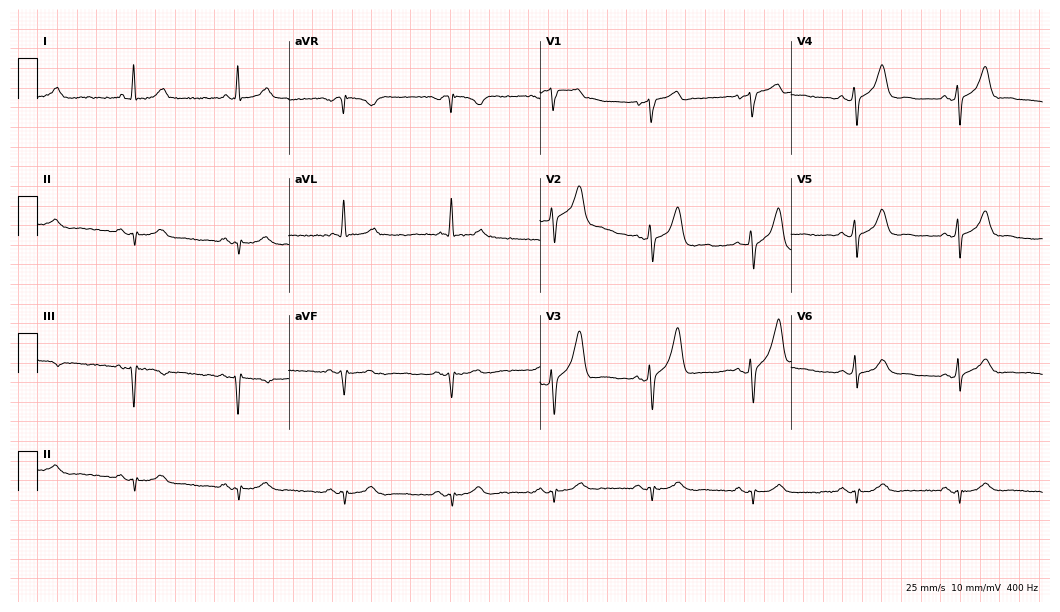
Resting 12-lead electrocardiogram (10.2-second recording at 400 Hz). Patient: a male, 70 years old. None of these six findings is recorded: first-degree AV block, right bundle branch block, left bundle branch block, sinus bradycardia, atrial fibrillation, sinus tachycardia. Only these six findings were labelled.